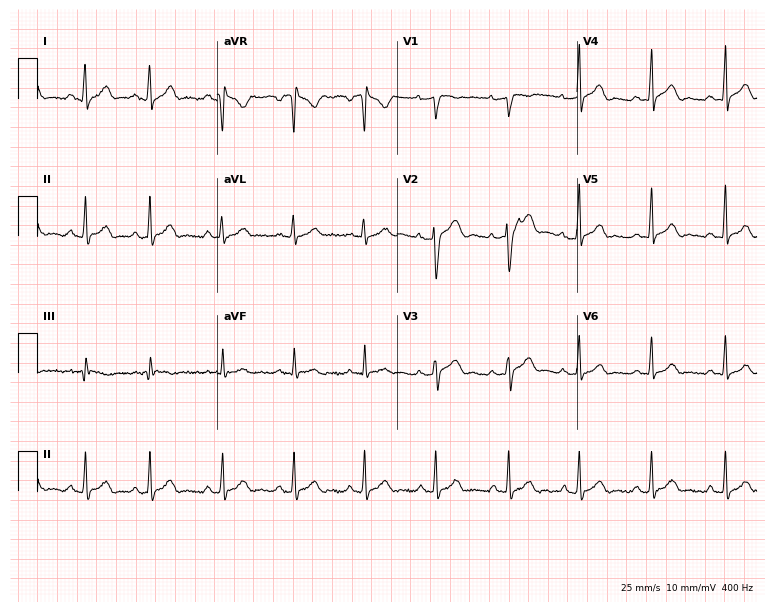
12-lead ECG (7.3-second recording at 400 Hz) from a woman, 35 years old. Labelled as a normal ECG.